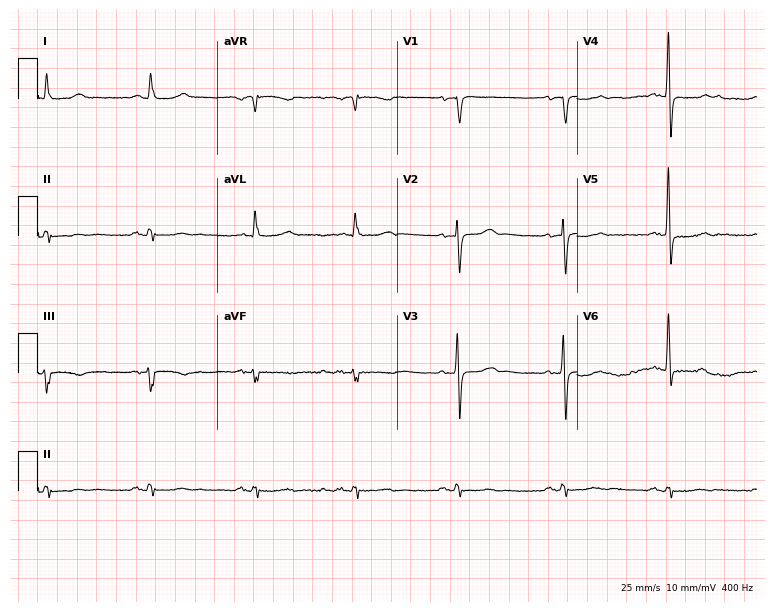
12-lead ECG from a 64-year-old man. No first-degree AV block, right bundle branch block, left bundle branch block, sinus bradycardia, atrial fibrillation or sinus tachycardia recorded for this tracing. Only these six findings were labelled.